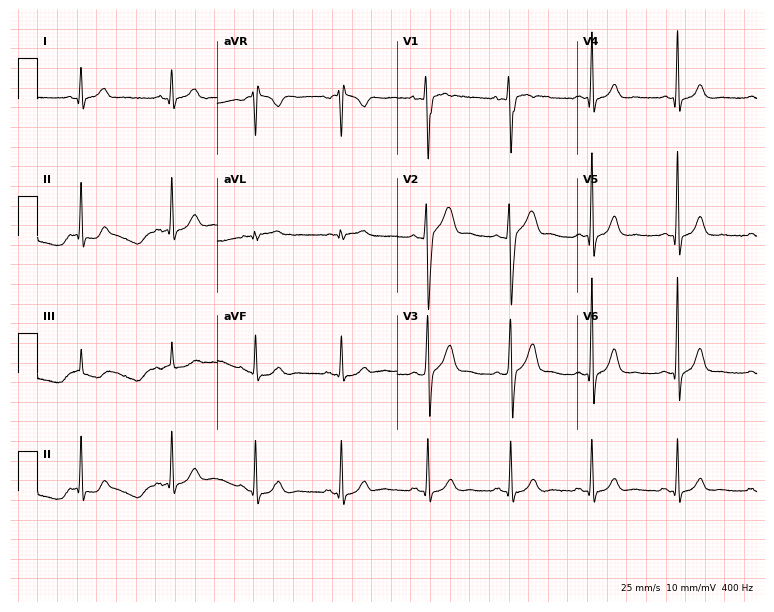
12-lead ECG from a male, 19 years old. Recorded interpretation: within normal limits.